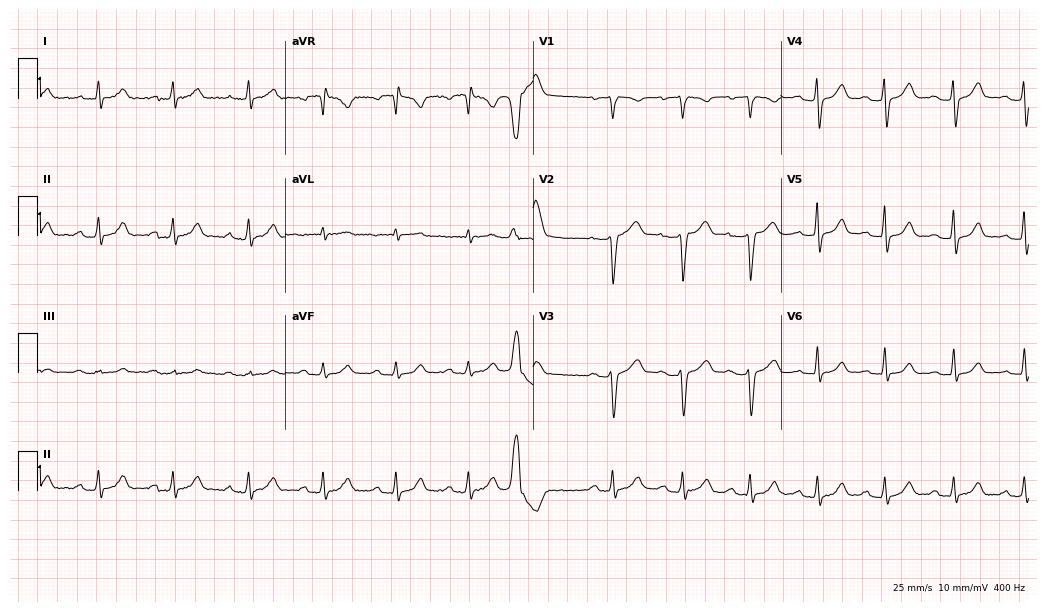
Resting 12-lead electrocardiogram (10.1-second recording at 400 Hz). Patient: a man, 70 years old. Read as a normal ECG.